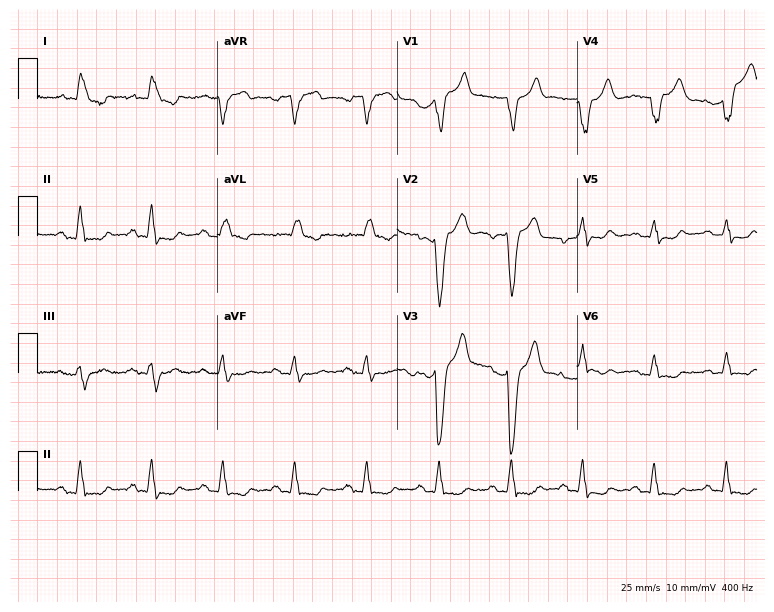
12-lead ECG from a 65-year-old man (7.3-second recording at 400 Hz). No first-degree AV block, right bundle branch block (RBBB), left bundle branch block (LBBB), sinus bradycardia, atrial fibrillation (AF) or sinus tachycardia recorded for this tracing. Findings outside these six are not listed.